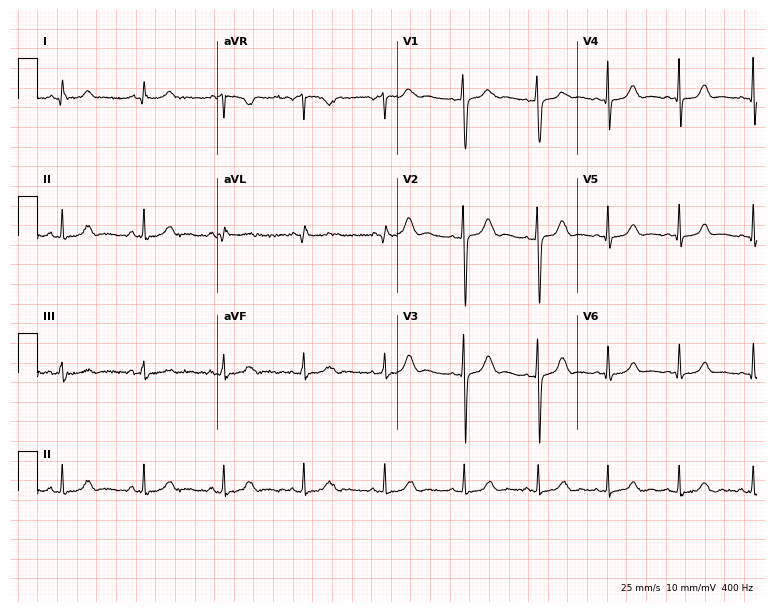
12-lead ECG (7.3-second recording at 400 Hz) from a woman, 19 years old. Screened for six findings — first-degree AV block, right bundle branch block, left bundle branch block, sinus bradycardia, atrial fibrillation, sinus tachycardia — none is recorded.